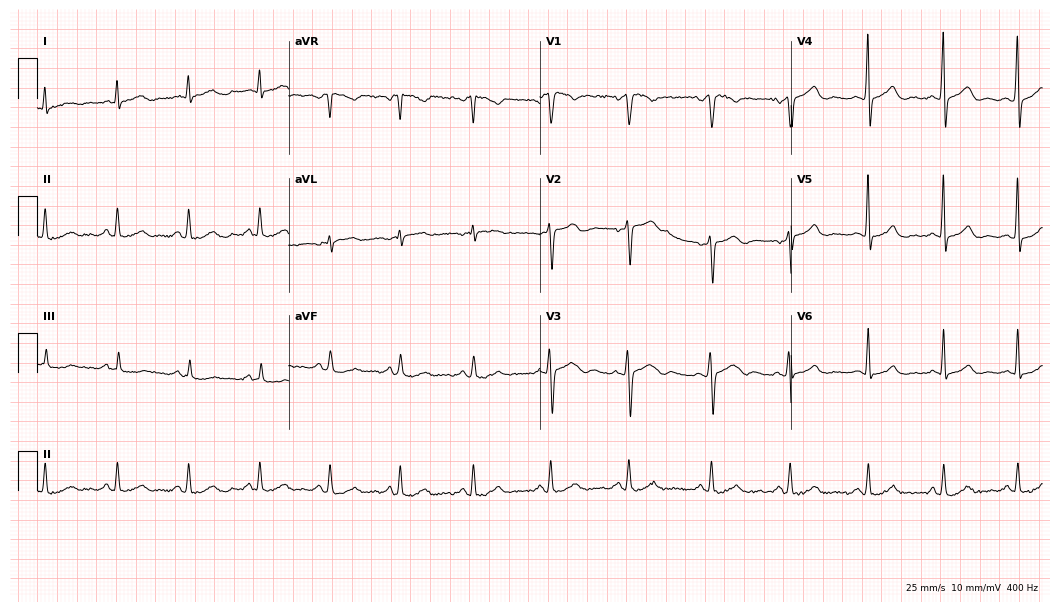
ECG (10.2-second recording at 400 Hz) — a 38-year-old man. Screened for six findings — first-degree AV block, right bundle branch block, left bundle branch block, sinus bradycardia, atrial fibrillation, sinus tachycardia — none is recorded. Findings outside these six are not listed.